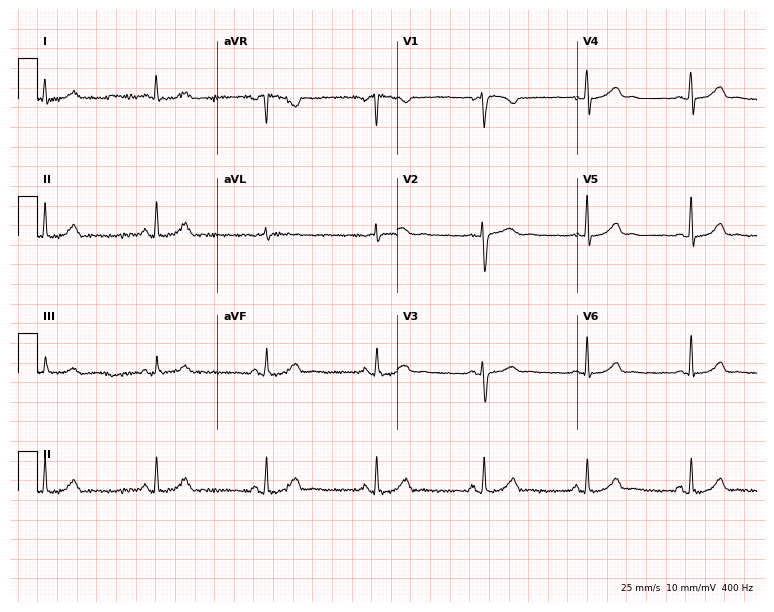
Resting 12-lead electrocardiogram (7.3-second recording at 400 Hz). Patient: a female, 34 years old. Read as a normal ECG.